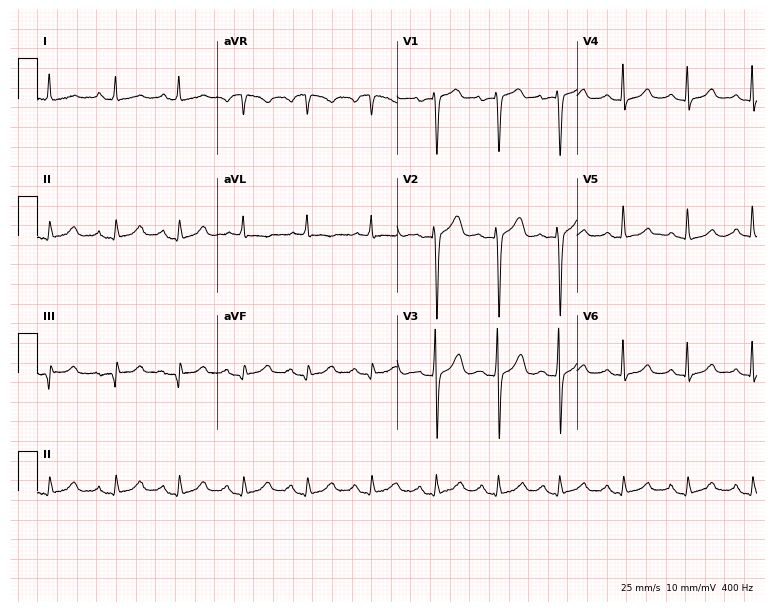
ECG — a 65-year-old woman. Labelled as a normal ECG.